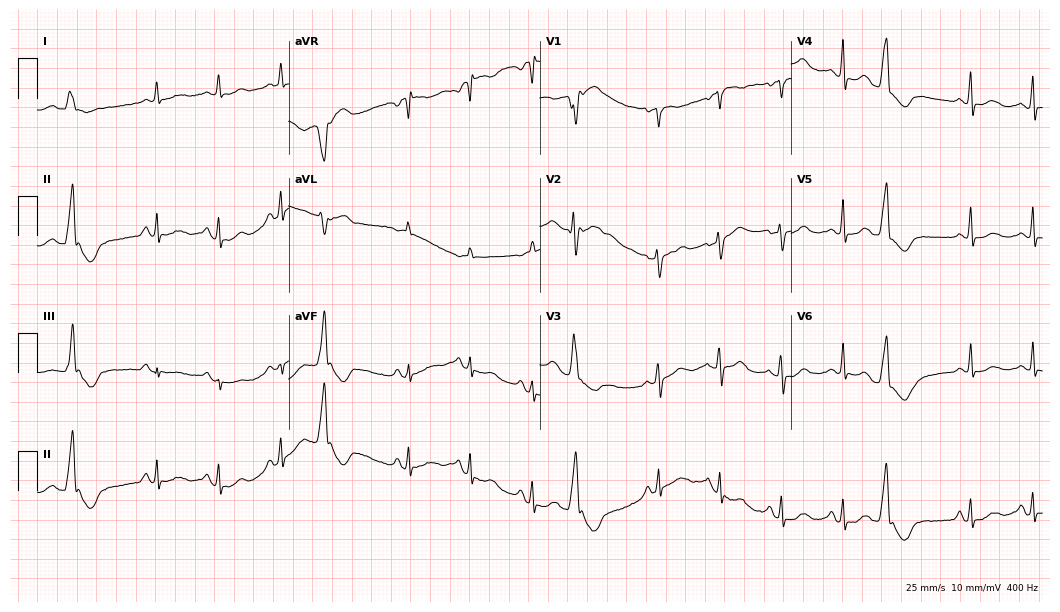
Standard 12-lead ECG recorded from a 74-year-old female (10.2-second recording at 400 Hz). None of these six findings is recorded: first-degree AV block, right bundle branch block, left bundle branch block, sinus bradycardia, atrial fibrillation, sinus tachycardia.